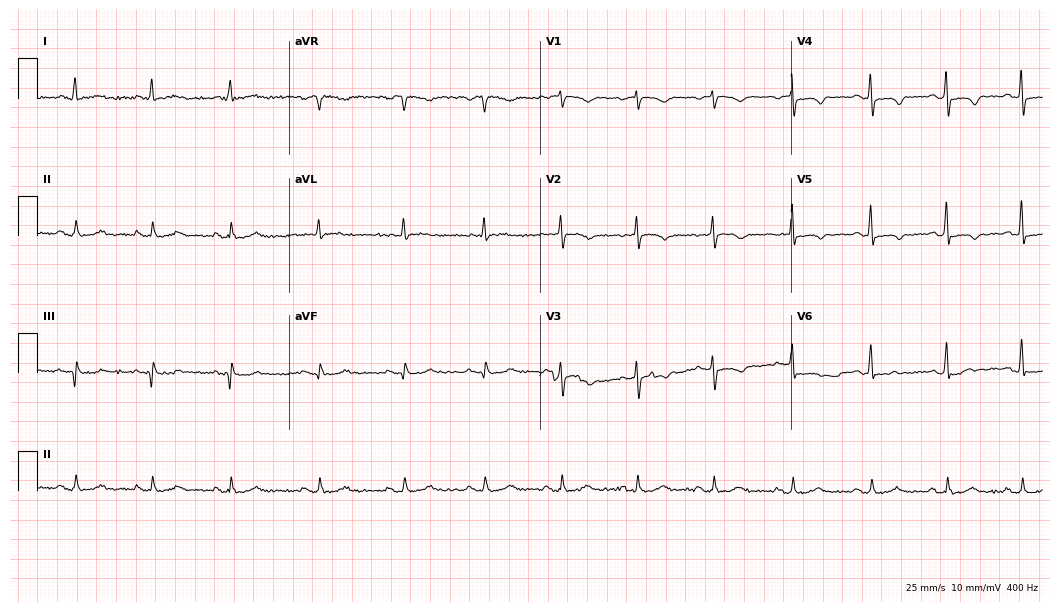
Resting 12-lead electrocardiogram. Patient: a woman, 58 years old. None of these six findings is recorded: first-degree AV block, right bundle branch block (RBBB), left bundle branch block (LBBB), sinus bradycardia, atrial fibrillation (AF), sinus tachycardia. Other findings, if any, are not listed.